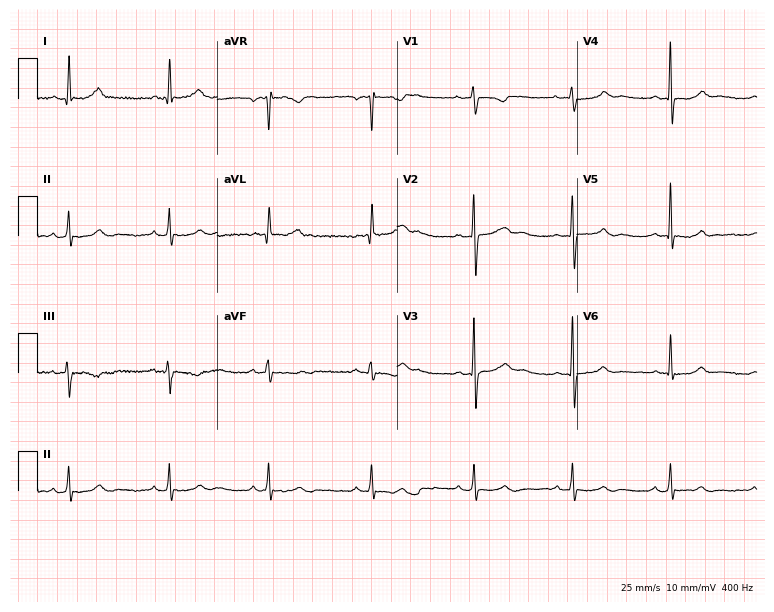
Standard 12-lead ECG recorded from a female patient, 64 years old (7.3-second recording at 400 Hz). None of these six findings is recorded: first-degree AV block, right bundle branch block, left bundle branch block, sinus bradycardia, atrial fibrillation, sinus tachycardia. Other findings, if any, are not listed.